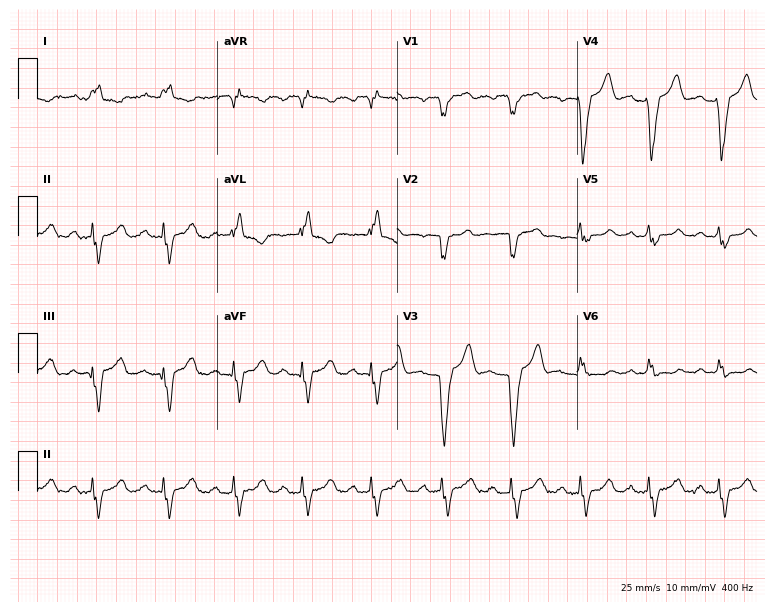
Electrocardiogram, a 76-year-old woman. Of the six screened findings (first-degree AV block, right bundle branch block, left bundle branch block, sinus bradycardia, atrial fibrillation, sinus tachycardia), none is recorded. Findings outside these six are not listed.